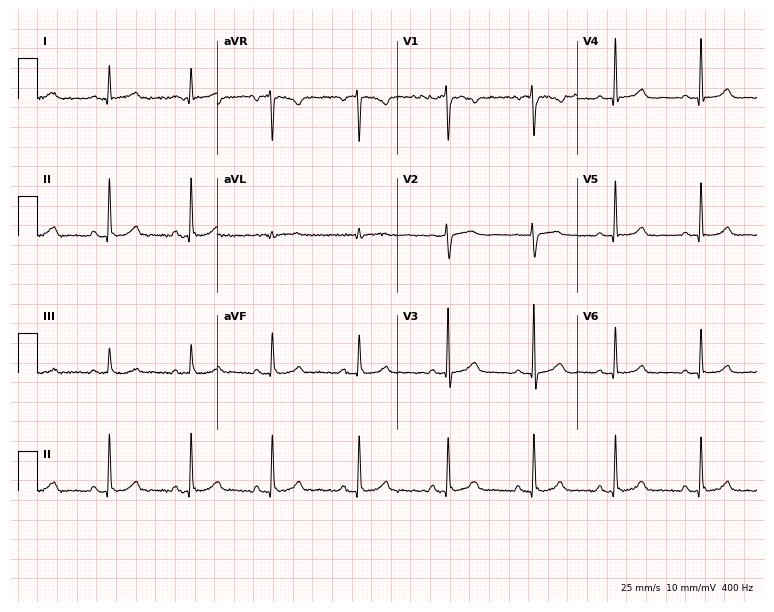
12-lead ECG (7.3-second recording at 400 Hz) from a male, 23 years old. Labelled as a normal ECG.